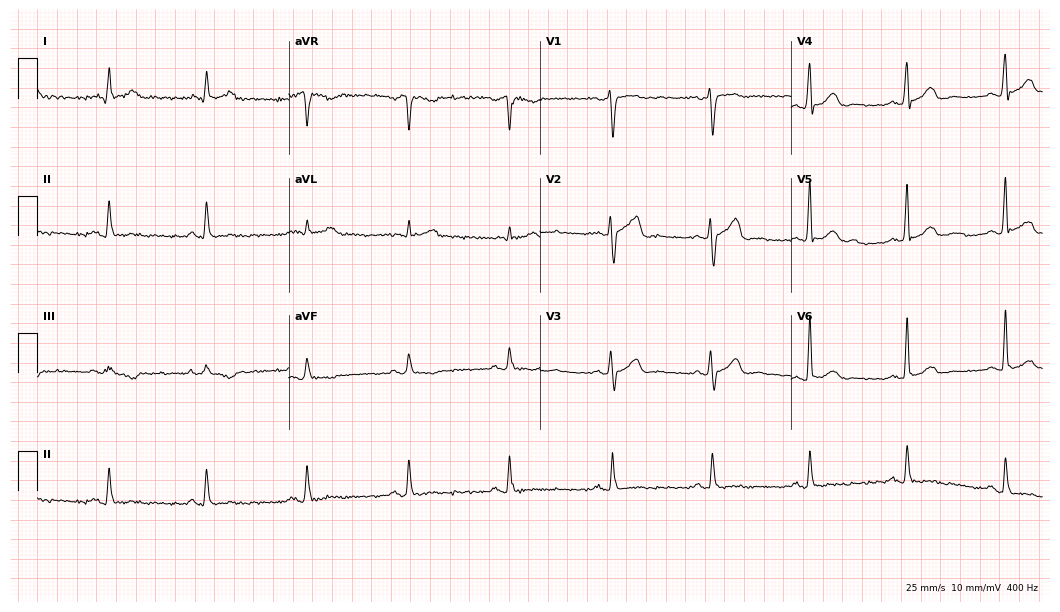
12-lead ECG from a 44-year-old man (10.2-second recording at 400 Hz). No first-degree AV block, right bundle branch block, left bundle branch block, sinus bradycardia, atrial fibrillation or sinus tachycardia recorded for this tracing.